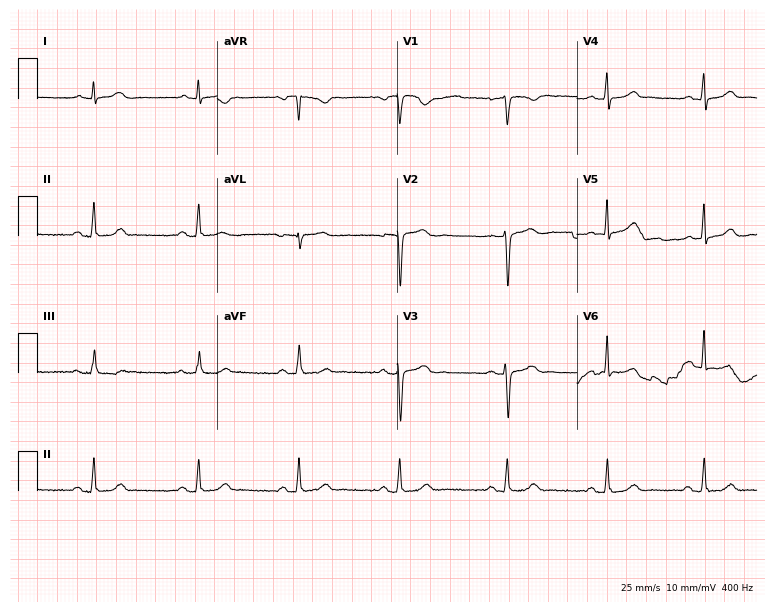
Standard 12-lead ECG recorded from a 30-year-old female (7.3-second recording at 400 Hz). Read as a normal ECG.